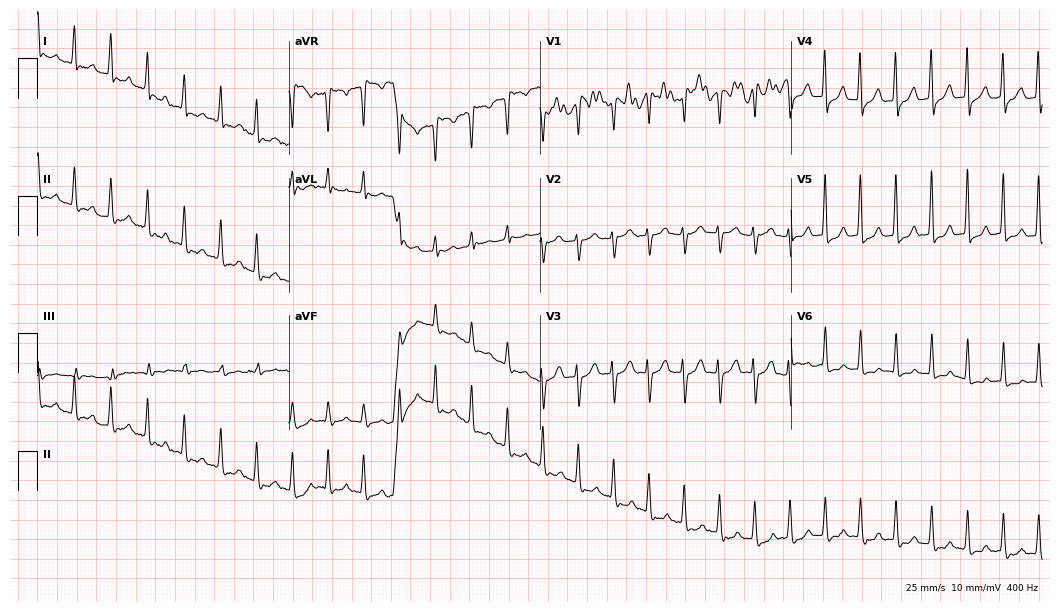
12-lead ECG from a 61-year-old woman (10.2-second recording at 400 Hz). No first-degree AV block, right bundle branch block, left bundle branch block, sinus bradycardia, atrial fibrillation or sinus tachycardia recorded for this tracing.